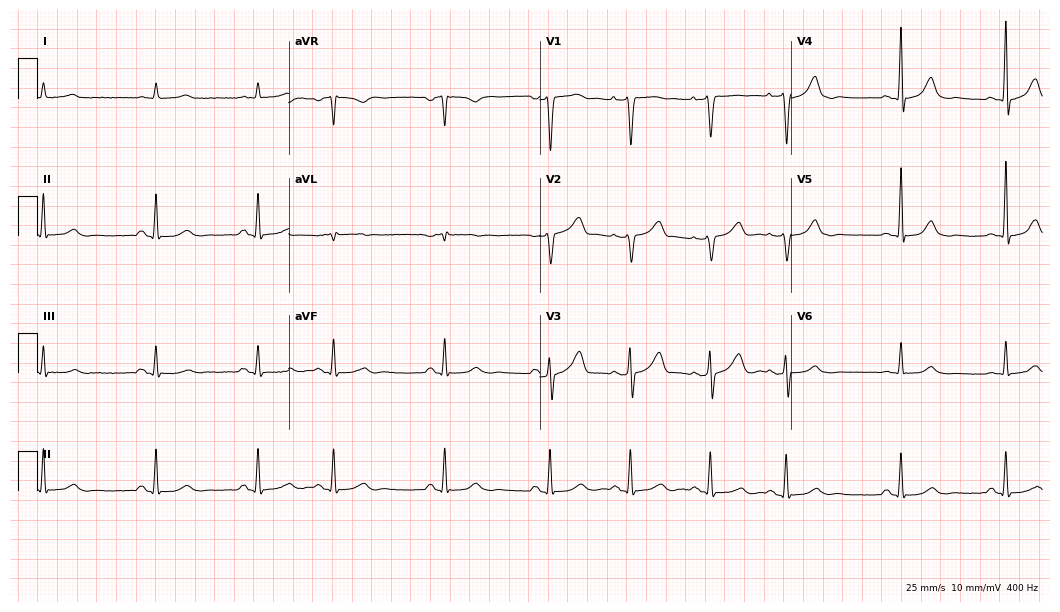
Electrocardiogram (10.2-second recording at 400 Hz), a 64-year-old male patient. Overall reading on record: normal ECG.